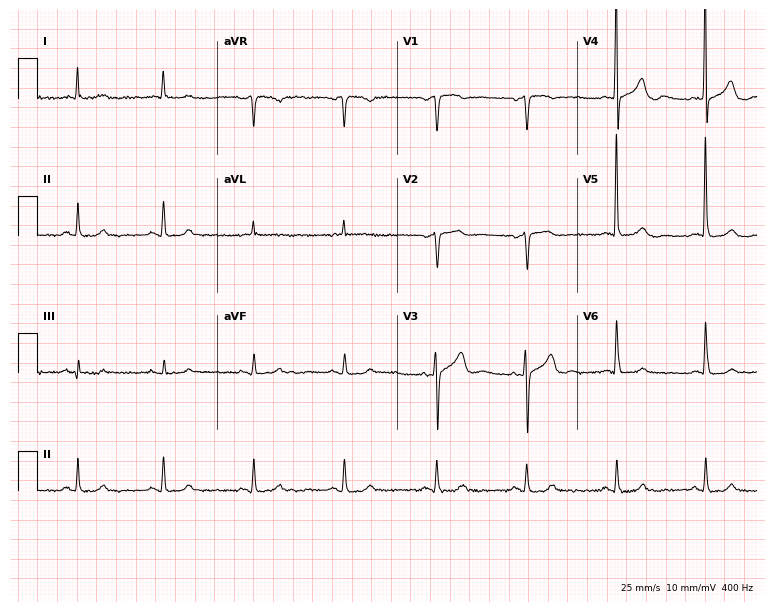
Resting 12-lead electrocardiogram. Patient: a woman, 71 years old. None of these six findings is recorded: first-degree AV block, right bundle branch block (RBBB), left bundle branch block (LBBB), sinus bradycardia, atrial fibrillation (AF), sinus tachycardia.